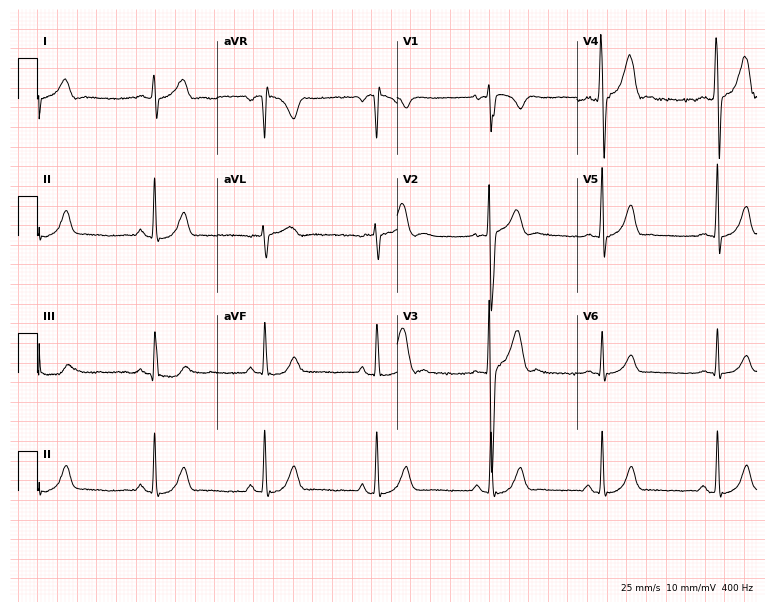
ECG — a 17-year-old male. Labelled as a normal ECG.